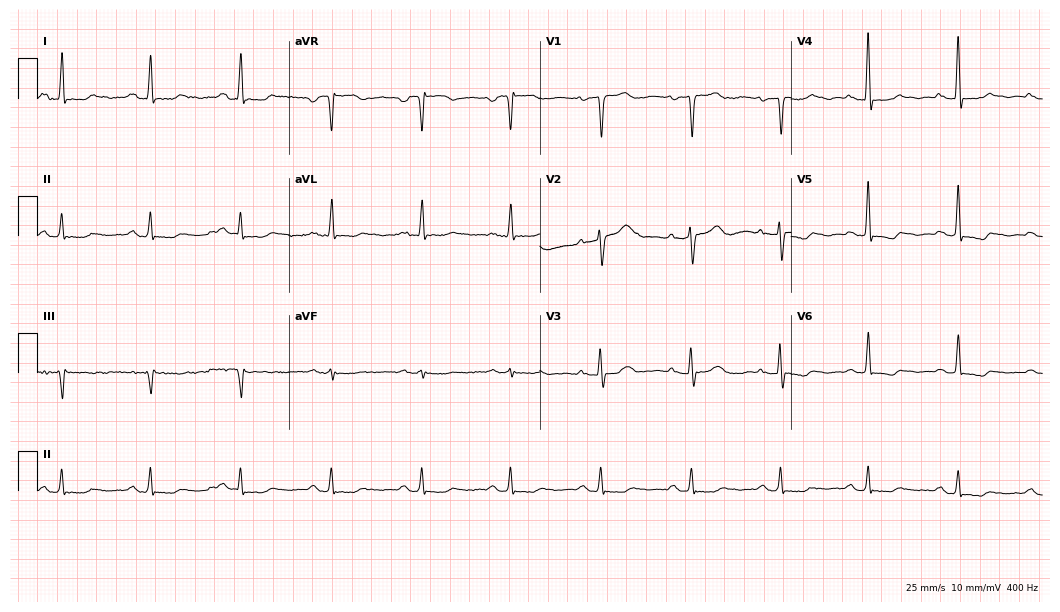
Standard 12-lead ECG recorded from a female, 56 years old. None of these six findings is recorded: first-degree AV block, right bundle branch block (RBBB), left bundle branch block (LBBB), sinus bradycardia, atrial fibrillation (AF), sinus tachycardia. Other findings, if any, are not listed.